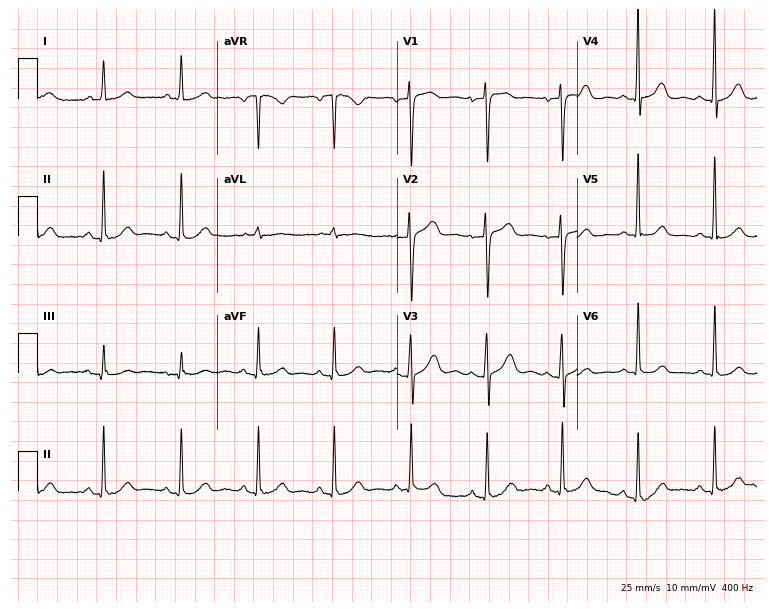
ECG — an 85-year-old woman. Labelled as a normal ECG.